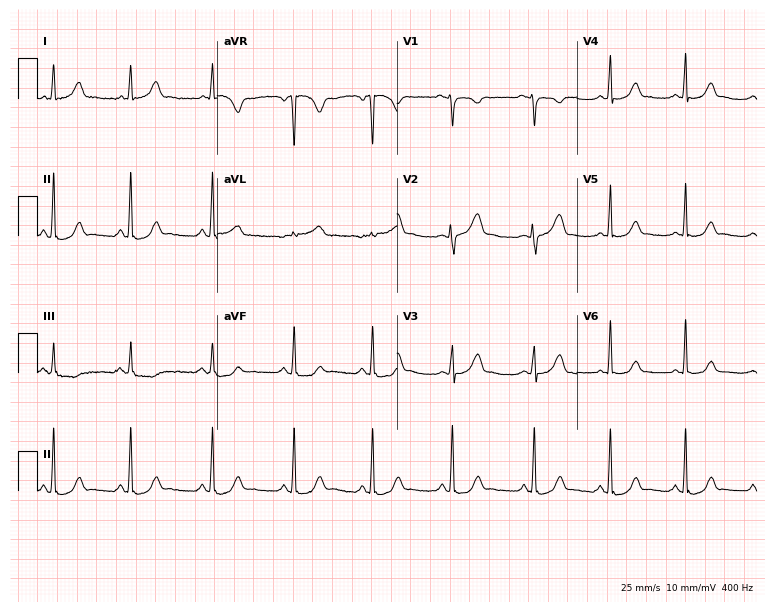
12-lead ECG from a 33-year-old female patient. Labelled as a normal ECG.